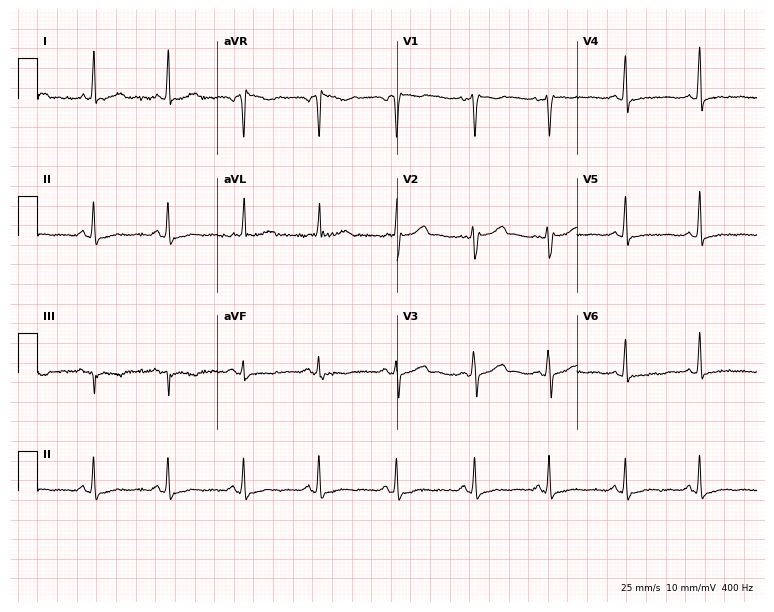
Electrocardiogram (7.3-second recording at 400 Hz), a woman, 44 years old. Of the six screened findings (first-degree AV block, right bundle branch block, left bundle branch block, sinus bradycardia, atrial fibrillation, sinus tachycardia), none is recorded. Other findings, if any, are not listed.